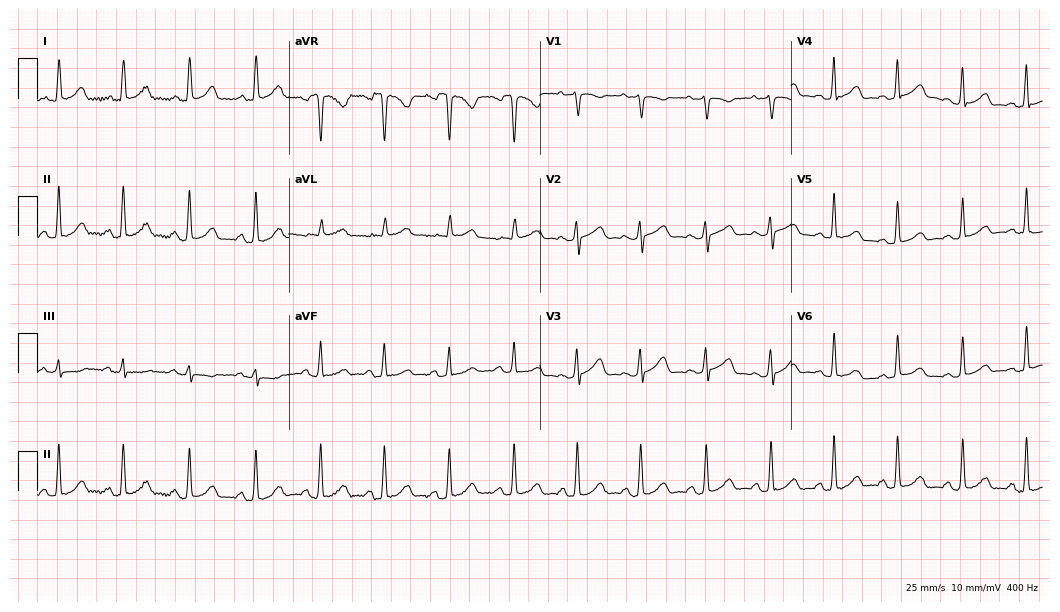
12-lead ECG (10.2-second recording at 400 Hz) from a woman, 32 years old. Screened for six findings — first-degree AV block, right bundle branch block (RBBB), left bundle branch block (LBBB), sinus bradycardia, atrial fibrillation (AF), sinus tachycardia — none is recorded. Only these six findings were labelled.